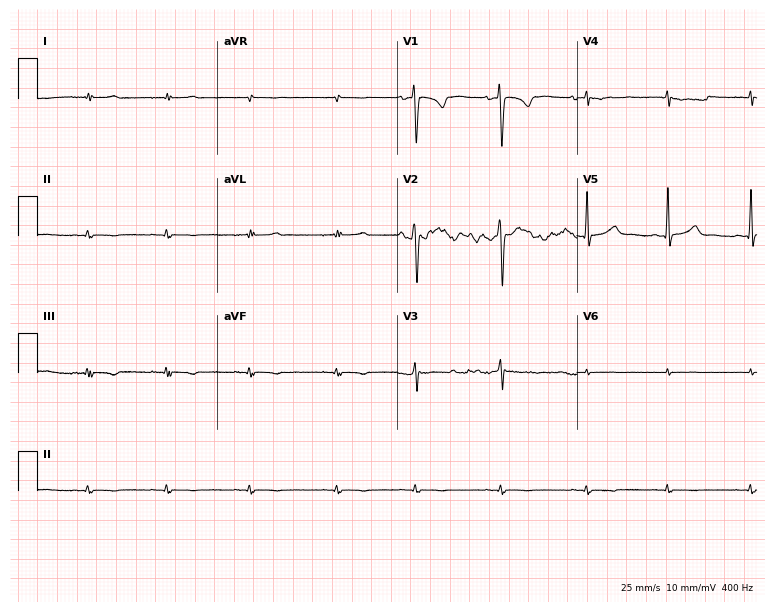
Standard 12-lead ECG recorded from a 32-year-old woman. None of these six findings is recorded: first-degree AV block, right bundle branch block, left bundle branch block, sinus bradycardia, atrial fibrillation, sinus tachycardia.